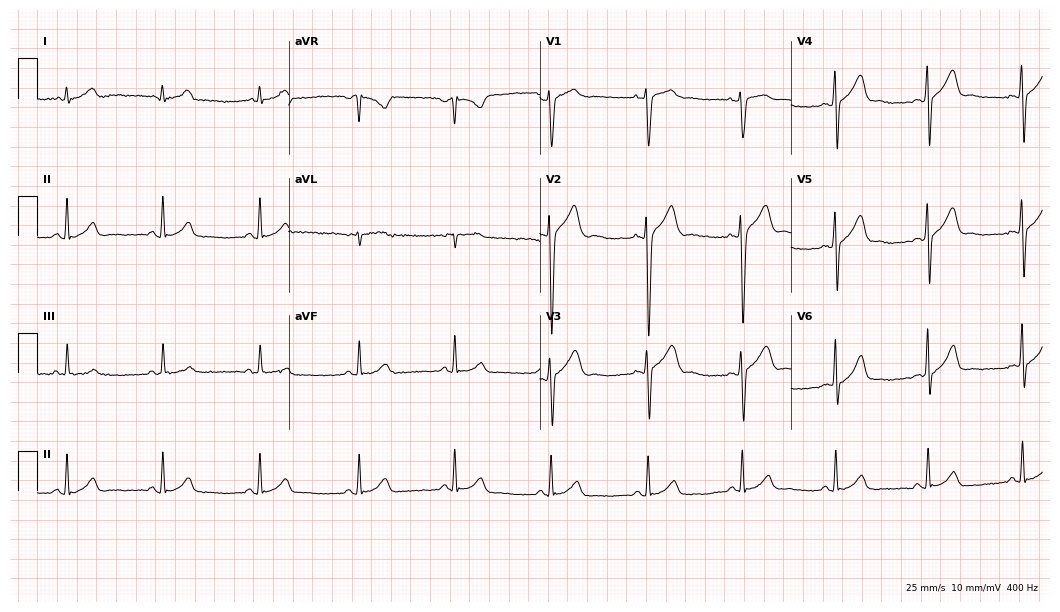
12-lead ECG from a 45-year-old male (10.2-second recording at 400 Hz). Recorded interpretation: within normal limits.